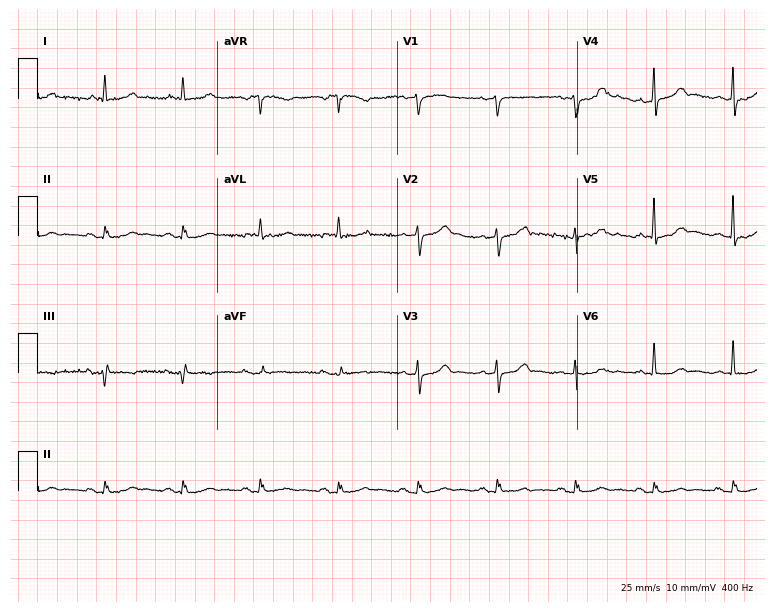
12-lead ECG from a male patient, 81 years old. Screened for six findings — first-degree AV block, right bundle branch block (RBBB), left bundle branch block (LBBB), sinus bradycardia, atrial fibrillation (AF), sinus tachycardia — none is recorded. Other findings, if any, are not listed.